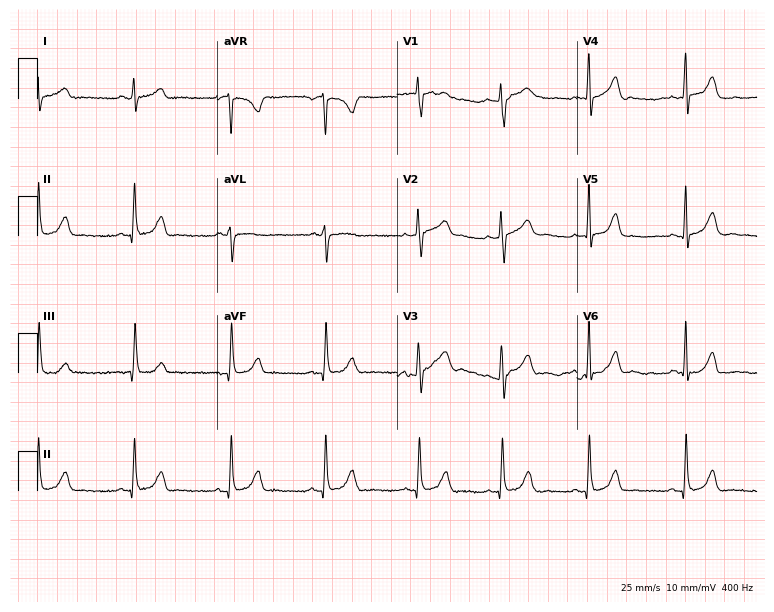
12-lead ECG from a 34-year-old female. Recorded interpretation: within normal limits.